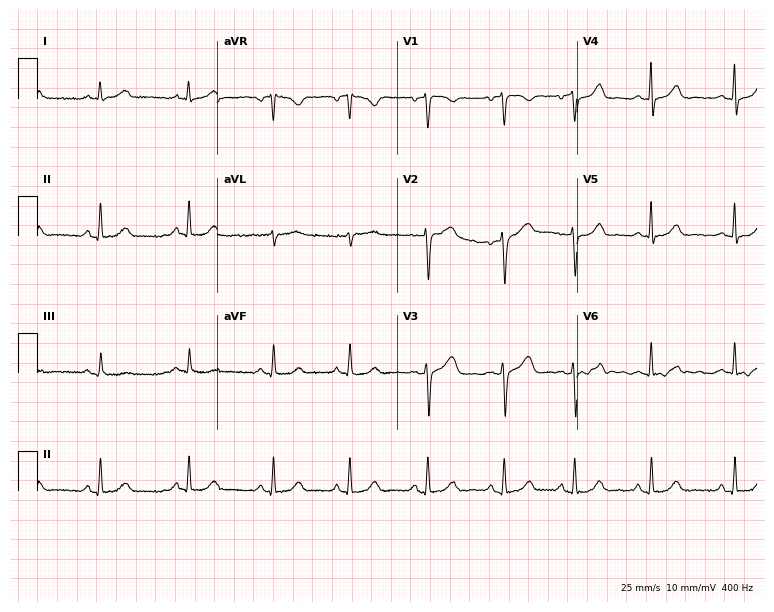
Resting 12-lead electrocardiogram (7.3-second recording at 400 Hz). Patient: a woman, 42 years old. None of these six findings is recorded: first-degree AV block, right bundle branch block (RBBB), left bundle branch block (LBBB), sinus bradycardia, atrial fibrillation (AF), sinus tachycardia.